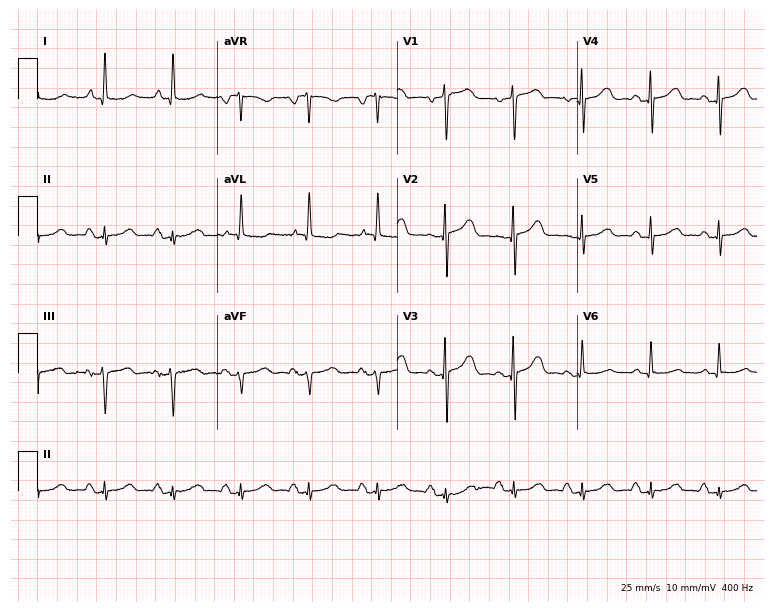
12-lead ECG from an 80-year-old woman. Recorded interpretation: within normal limits.